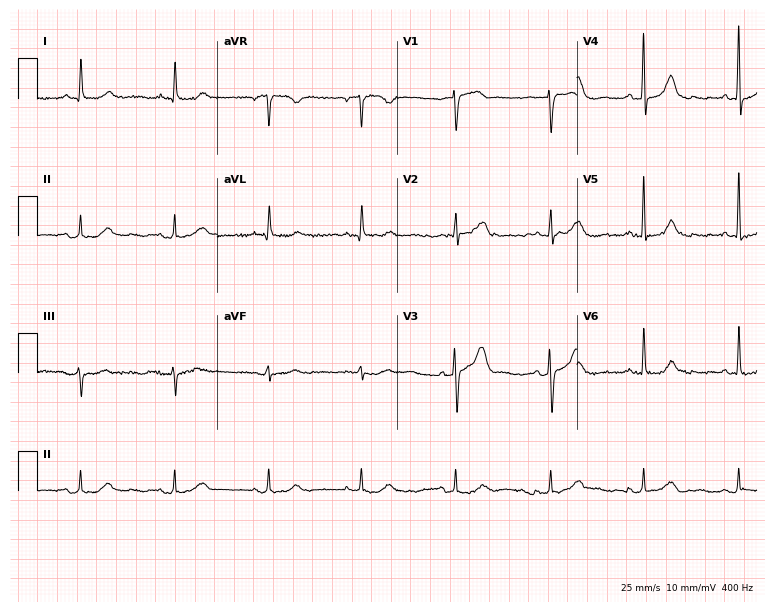
Electrocardiogram, a 70-year-old female. Overall reading on record: normal ECG.